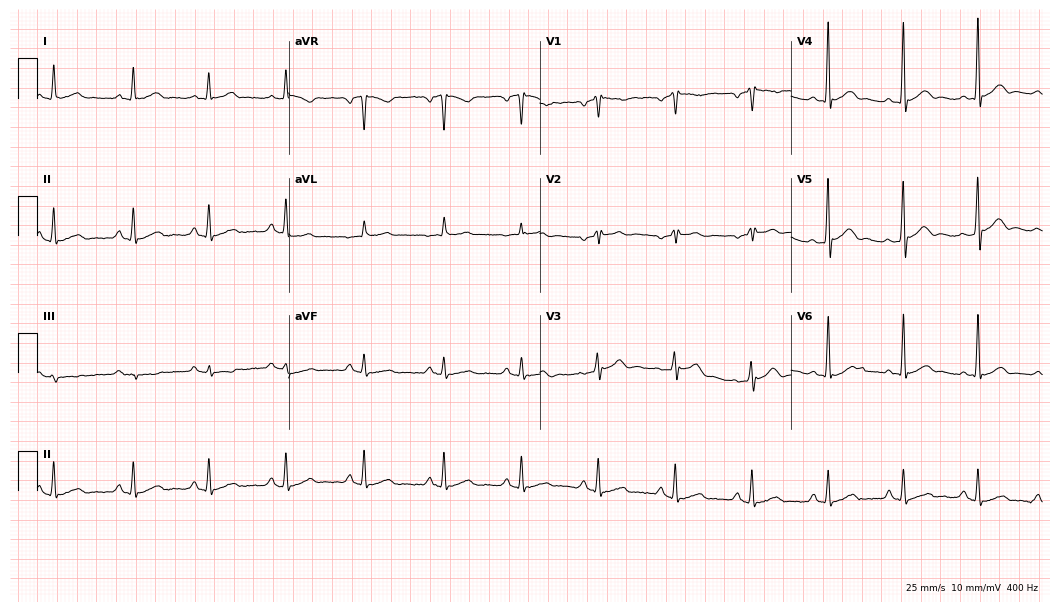
ECG (10.2-second recording at 400 Hz) — a male, 49 years old. Screened for six findings — first-degree AV block, right bundle branch block (RBBB), left bundle branch block (LBBB), sinus bradycardia, atrial fibrillation (AF), sinus tachycardia — none is recorded.